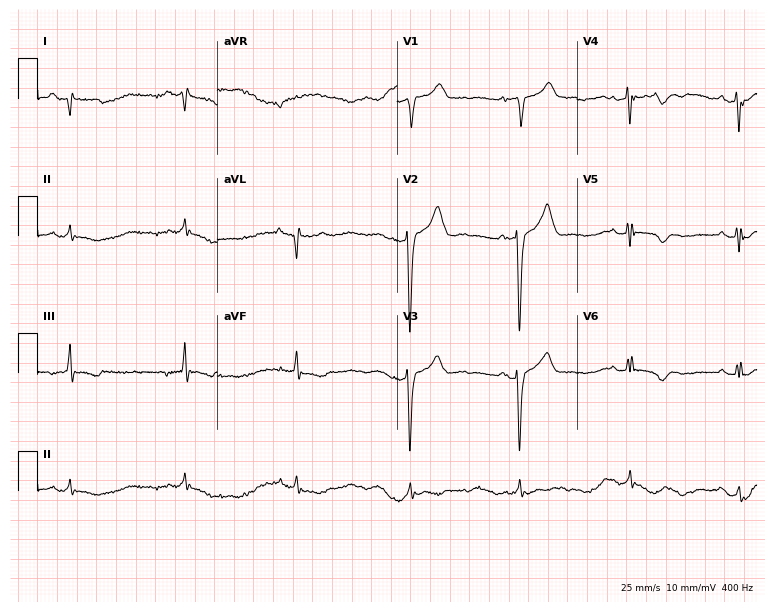
Standard 12-lead ECG recorded from a man, 39 years old. Read as a normal ECG.